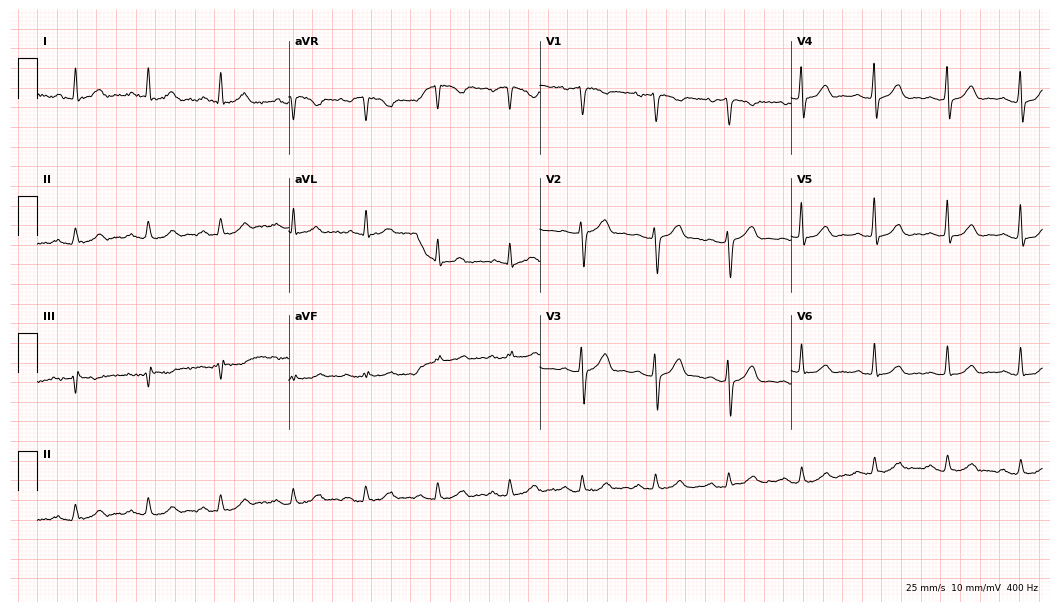
Electrocardiogram, a man, 75 years old. Of the six screened findings (first-degree AV block, right bundle branch block (RBBB), left bundle branch block (LBBB), sinus bradycardia, atrial fibrillation (AF), sinus tachycardia), none is recorded.